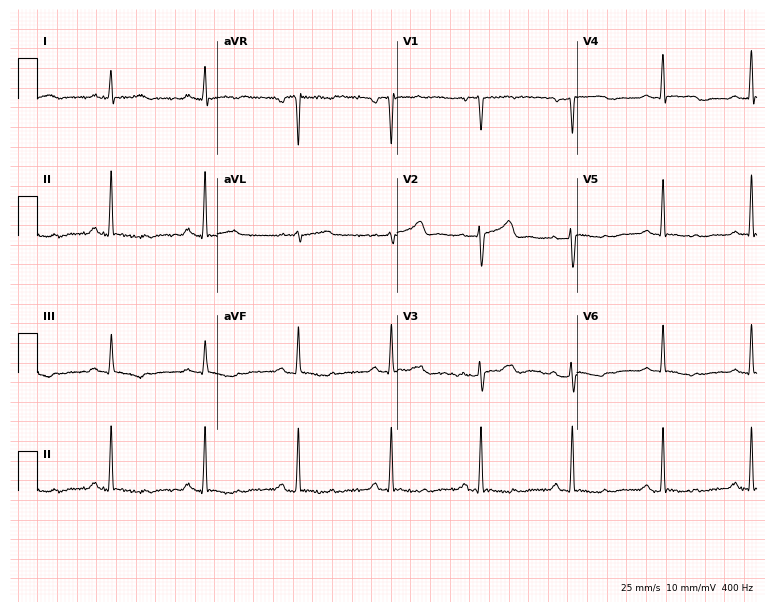
Resting 12-lead electrocardiogram. Patient: a 48-year-old female. None of these six findings is recorded: first-degree AV block, right bundle branch block, left bundle branch block, sinus bradycardia, atrial fibrillation, sinus tachycardia.